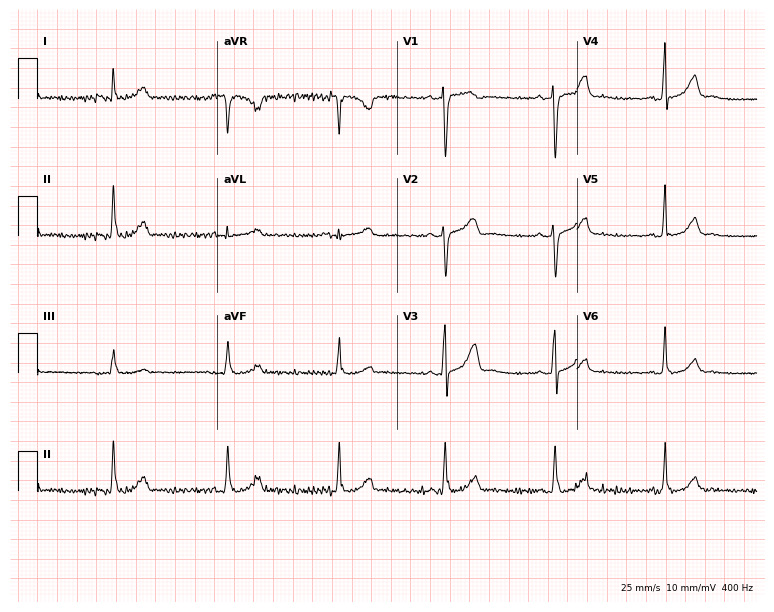
Electrocardiogram, a 33-year-old female patient. Overall reading on record: normal ECG.